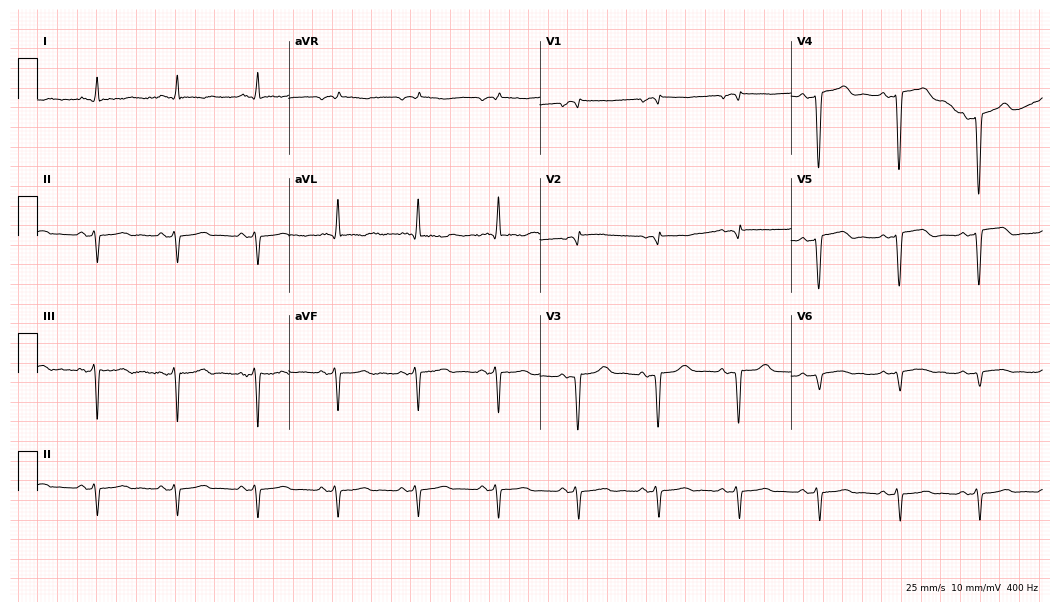
12-lead ECG (10.2-second recording at 400 Hz) from a woman, 40 years old. Screened for six findings — first-degree AV block, right bundle branch block, left bundle branch block, sinus bradycardia, atrial fibrillation, sinus tachycardia — none is recorded. Only these six findings were labelled.